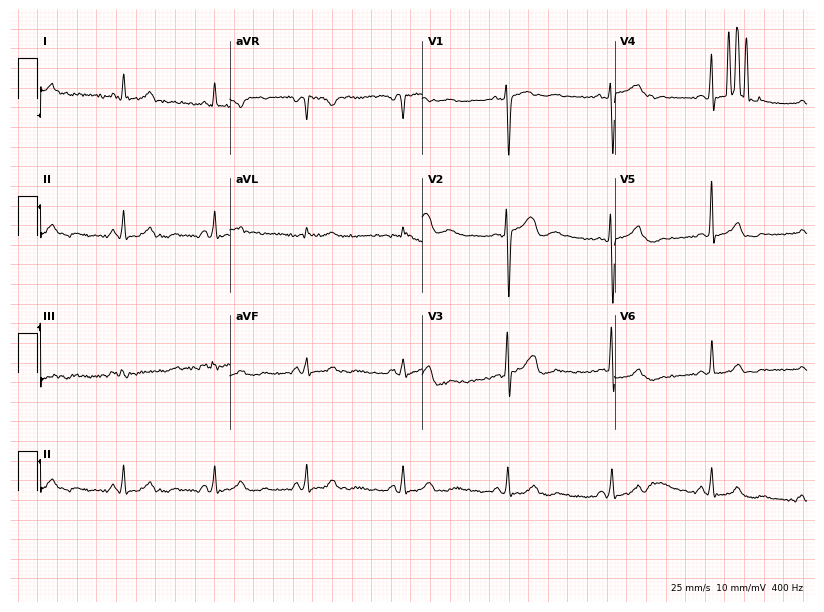
12-lead ECG from a 34-year-old female. Screened for six findings — first-degree AV block, right bundle branch block, left bundle branch block, sinus bradycardia, atrial fibrillation, sinus tachycardia — none is recorded. Findings outside these six are not listed.